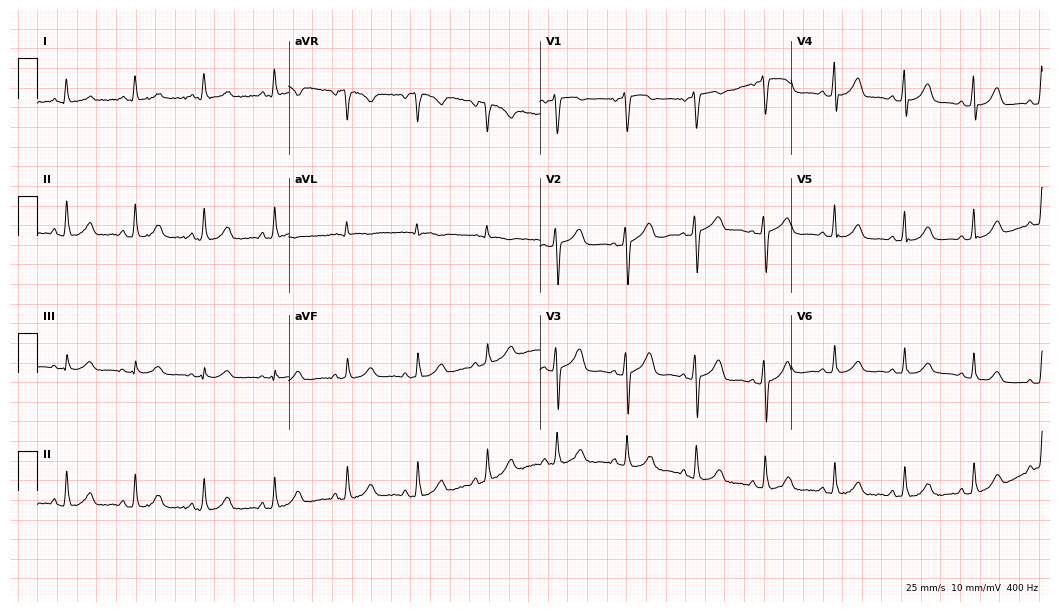
Electrocardiogram, a female patient, 51 years old. Overall reading on record: normal ECG.